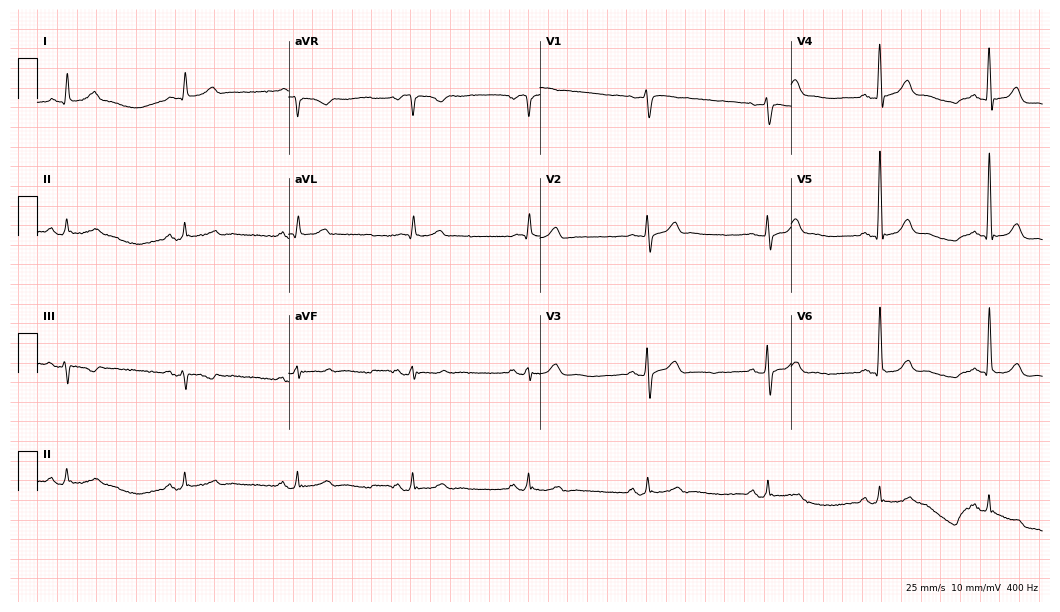
12-lead ECG from a 68-year-old male patient. Recorded interpretation: within normal limits.